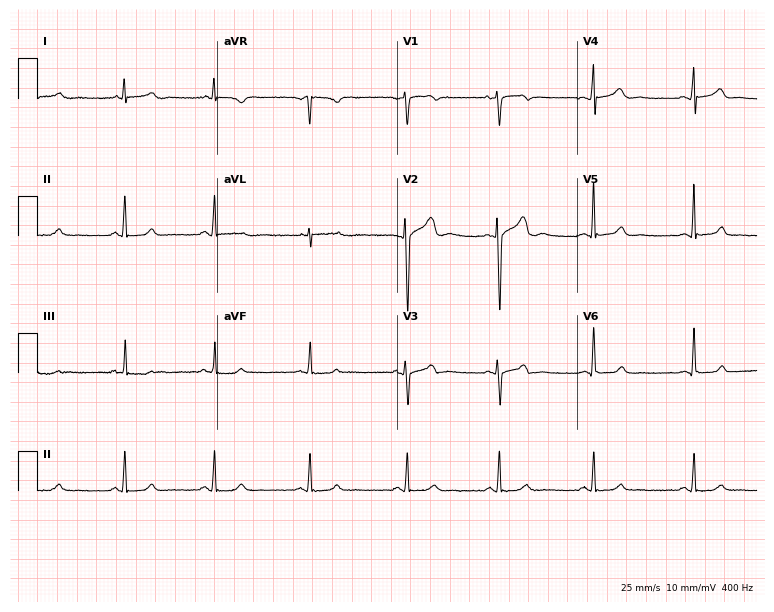
Standard 12-lead ECG recorded from a woman, 24 years old (7.3-second recording at 400 Hz). Read as a normal ECG.